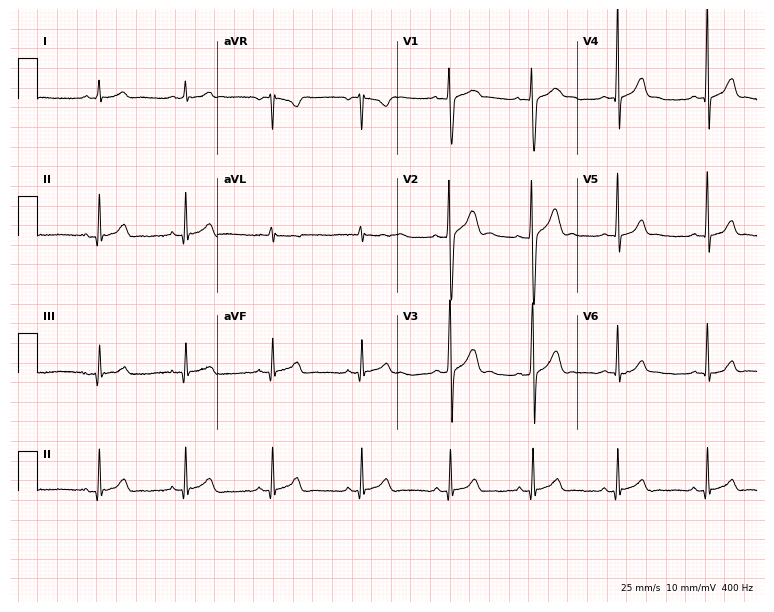
12-lead ECG from a 20-year-old male patient. Screened for six findings — first-degree AV block, right bundle branch block, left bundle branch block, sinus bradycardia, atrial fibrillation, sinus tachycardia — none is recorded. Findings outside these six are not listed.